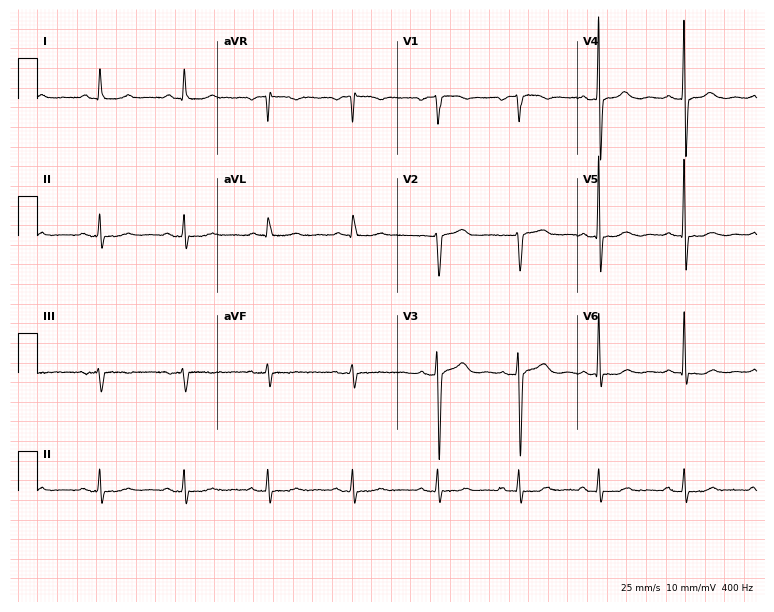
12-lead ECG from a female patient, 51 years old (7.3-second recording at 400 Hz). No first-degree AV block, right bundle branch block, left bundle branch block, sinus bradycardia, atrial fibrillation or sinus tachycardia recorded for this tracing. Other findings, if any, are not listed.